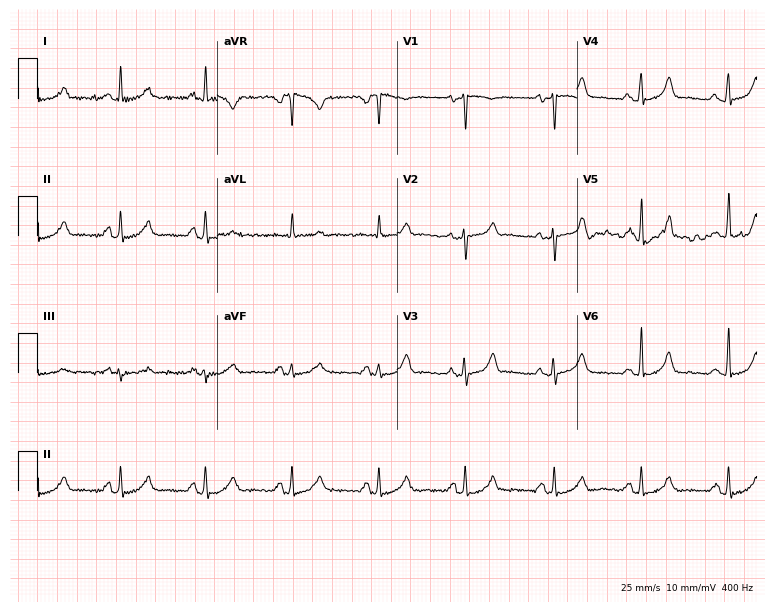
12-lead ECG (7.3-second recording at 400 Hz) from a 26-year-old male. Screened for six findings — first-degree AV block, right bundle branch block (RBBB), left bundle branch block (LBBB), sinus bradycardia, atrial fibrillation (AF), sinus tachycardia — none is recorded. Only these six findings were labelled.